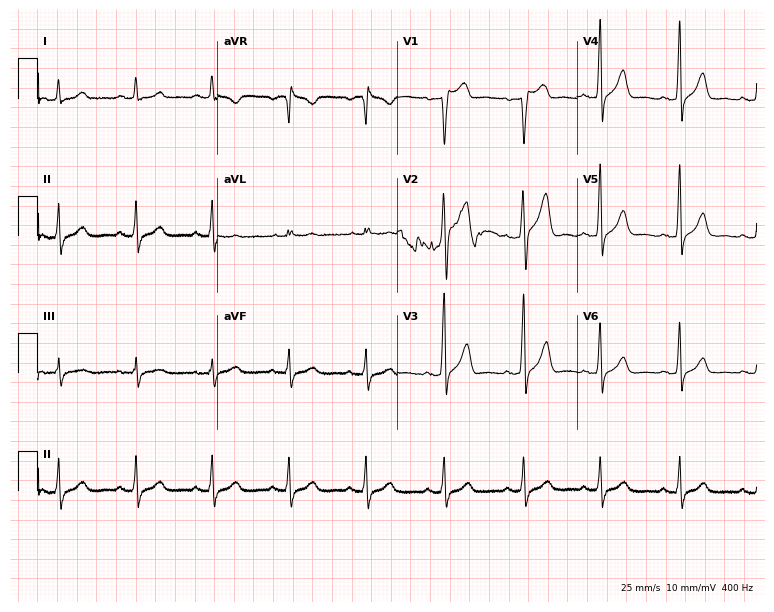
Standard 12-lead ECG recorded from a man, 58 years old. Read as a normal ECG.